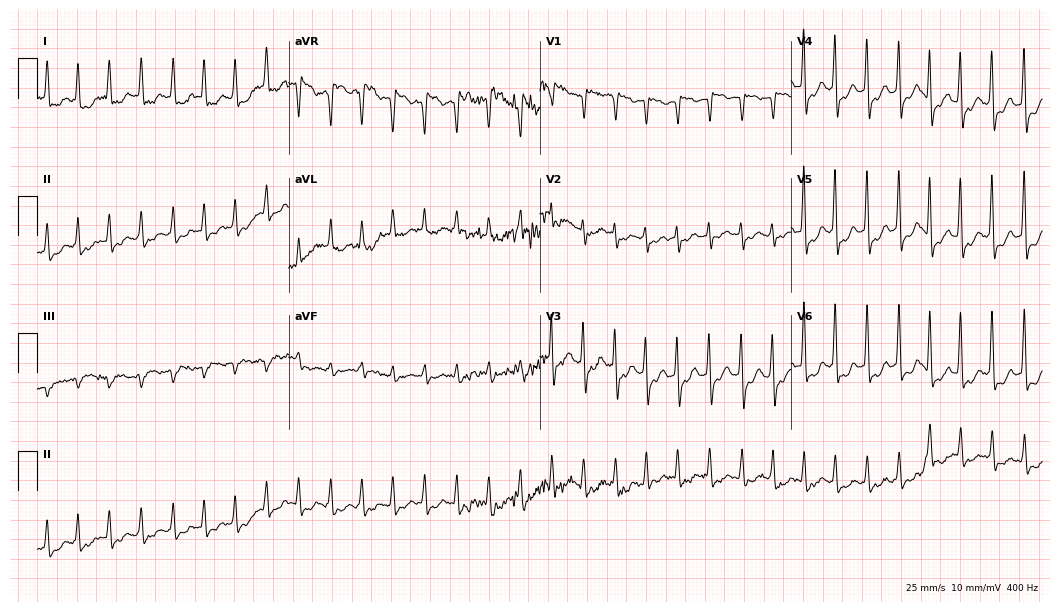
Standard 12-lead ECG recorded from a 57-year-old female (10.2-second recording at 400 Hz). None of these six findings is recorded: first-degree AV block, right bundle branch block, left bundle branch block, sinus bradycardia, atrial fibrillation, sinus tachycardia. Other findings, if any, are not listed.